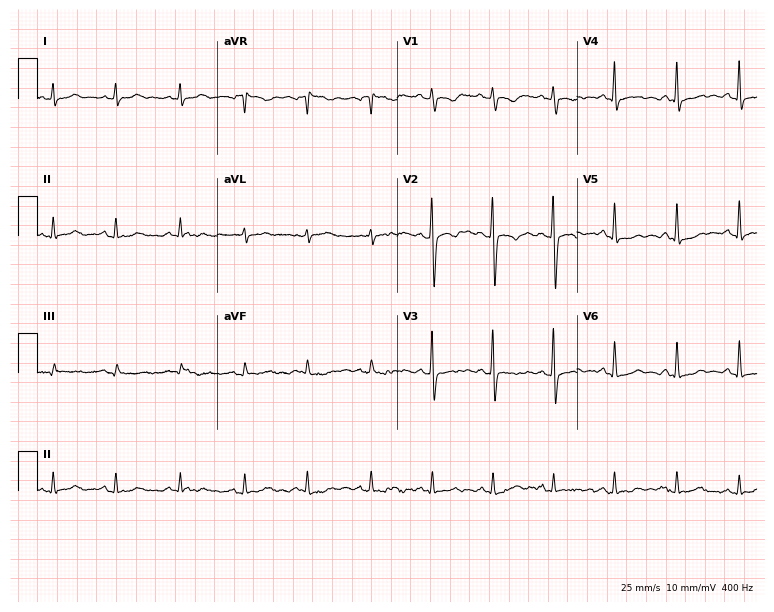
Resting 12-lead electrocardiogram (7.3-second recording at 400 Hz). Patient: a 29-year-old female. None of these six findings is recorded: first-degree AV block, right bundle branch block (RBBB), left bundle branch block (LBBB), sinus bradycardia, atrial fibrillation (AF), sinus tachycardia.